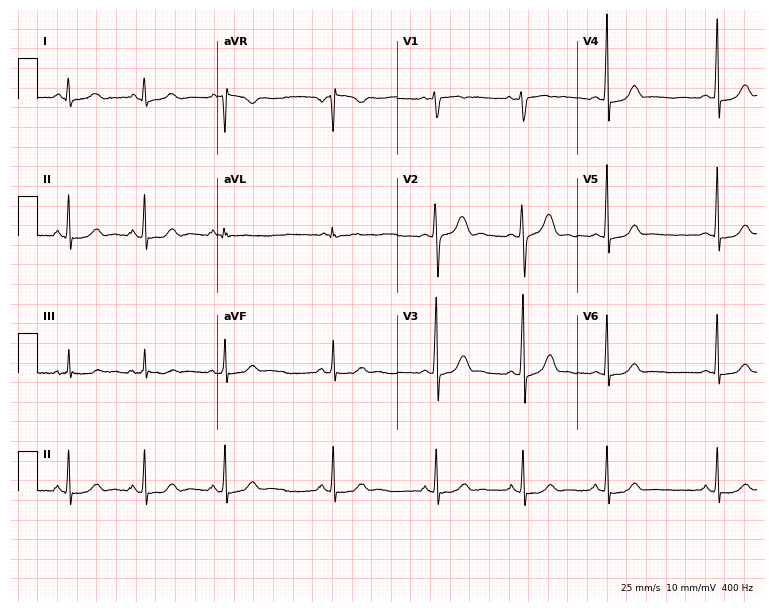
Electrocardiogram, a female patient, 19 years old. Of the six screened findings (first-degree AV block, right bundle branch block, left bundle branch block, sinus bradycardia, atrial fibrillation, sinus tachycardia), none is recorded.